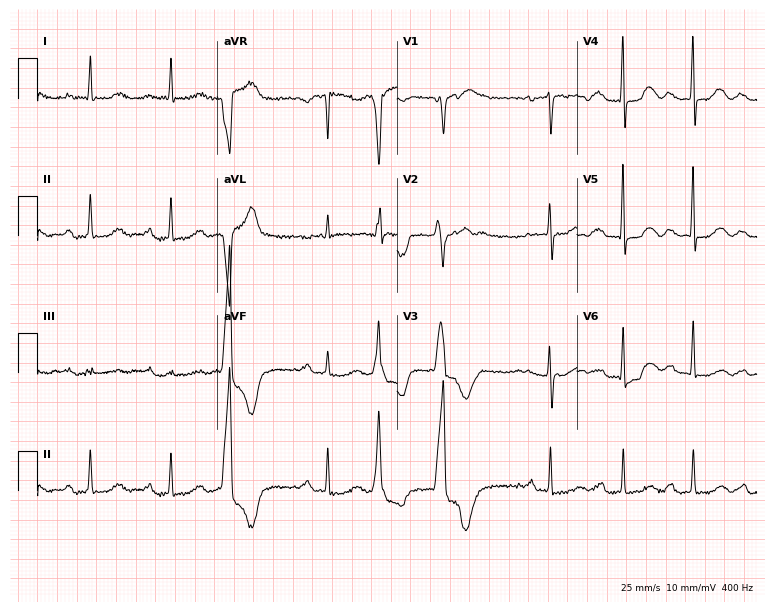
Resting 12-lead electrocardiogram (7.3-second recording at 400 Hz). Patient: a female, 72 years old. The tracing shows first-degree AV block.